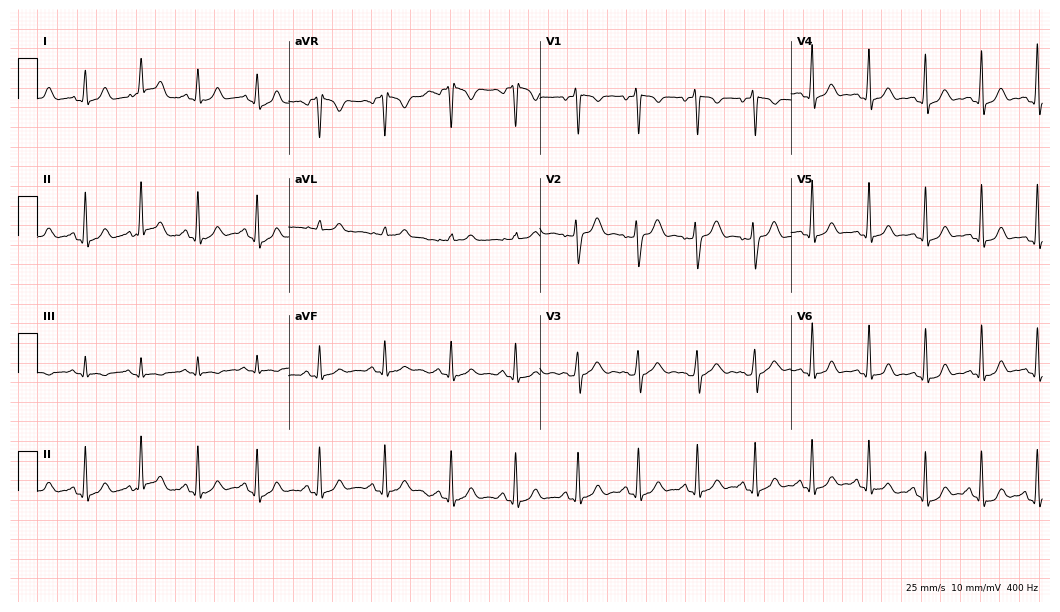
ECG — a 28-year-old woman. Labelled as a normal ECG.